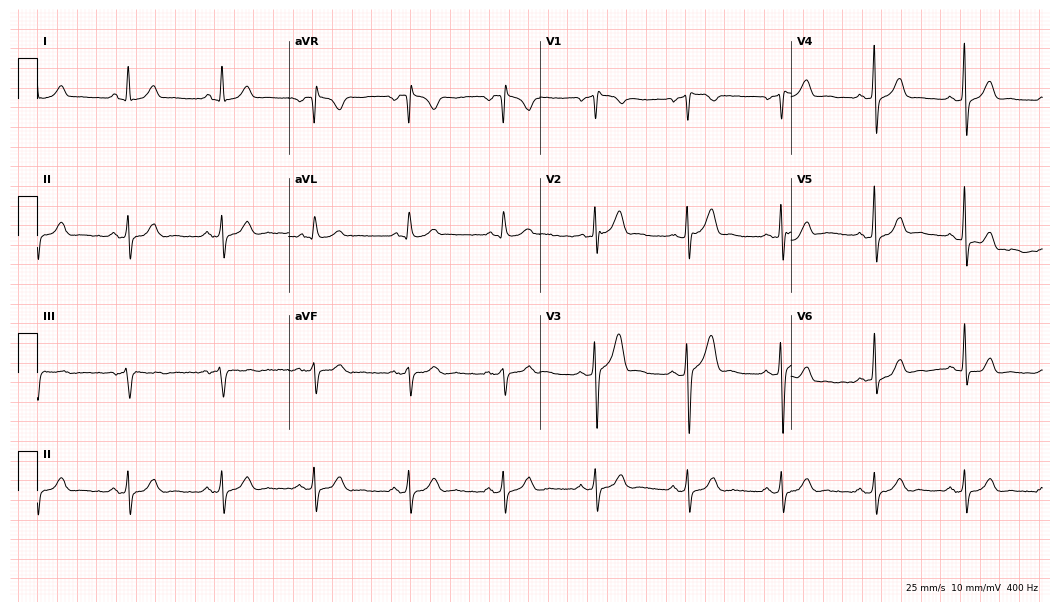
Resting 12-lead electrocardiogram. Patient: a male, 39 years old. Read as a normal ECG.